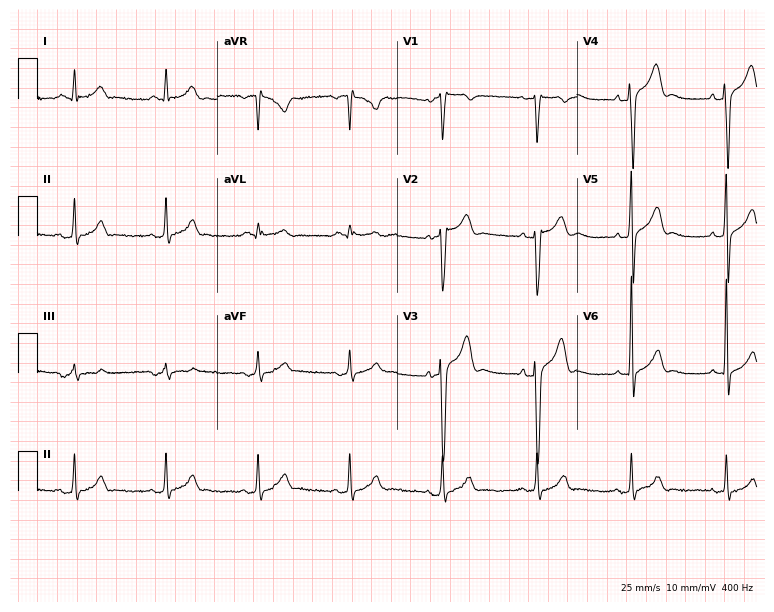
ECG (7.3-second recording at 400 Hz) — a 50-year-old male patient. Screened for six findings — first-degree AV block, right bundle branch block (RBBB), left bundle branch block (LBBB), sinus bradycardia, atrial fibrillation (AF), sinus tachycardia — none is recorded.